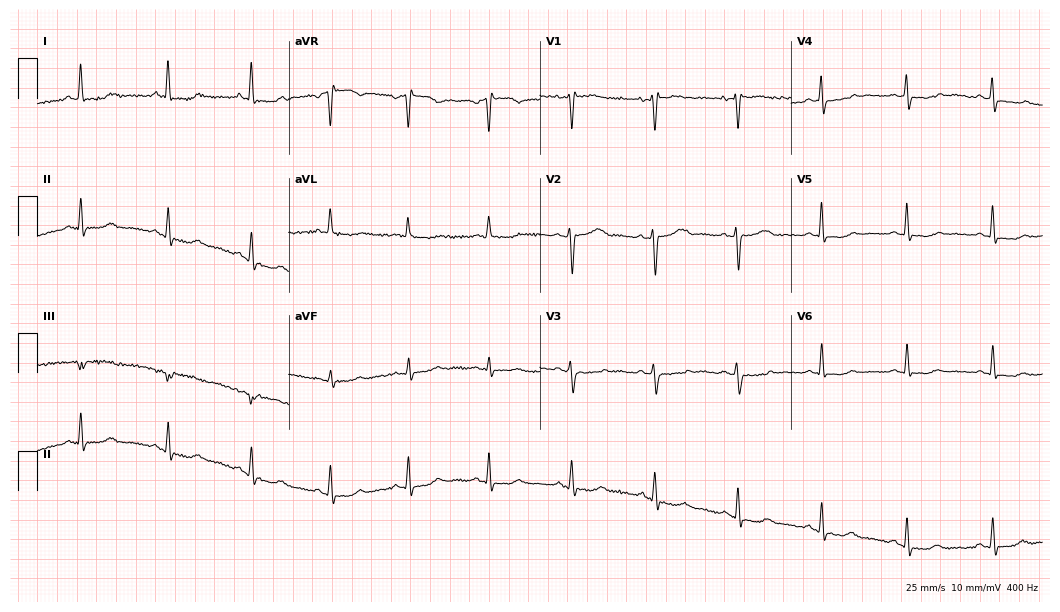
12-lead ECG (10.2-second recording at 400 Hz) from a 56-year-old woman. Screened for six findings — first-degree AV block, right bundle branch block, left bundle branch block, sinus bradycardia, atrial fibrillation, sinus tachycardia — none is recorded. Other findings, if any, are not listed.